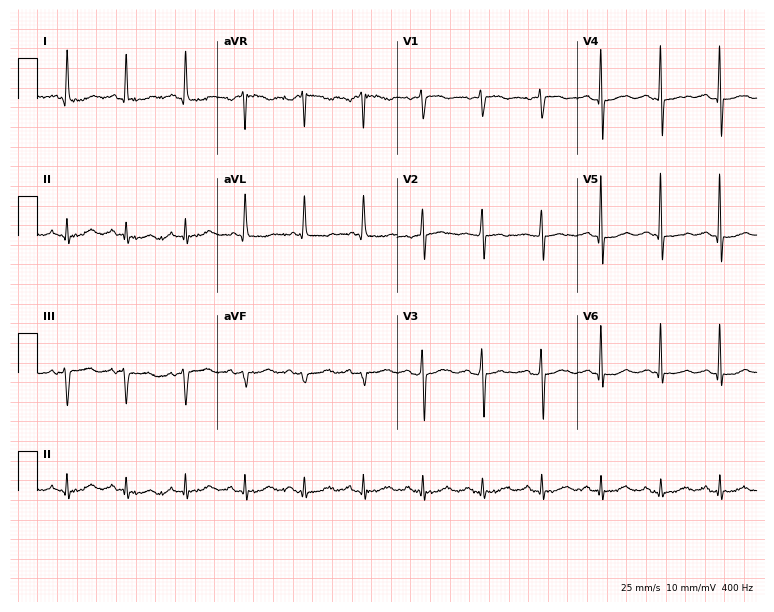
Electrocardiogram, a woman, 79 years old. Of the six screened findings (first-degree AV block, right bundle branch block (RBBB), left bundle branch block (LBBB), sinus bradycardia, atrial fibrillation (AF), sinus tachycardia), none is recorded. Only these six findings were labelled.